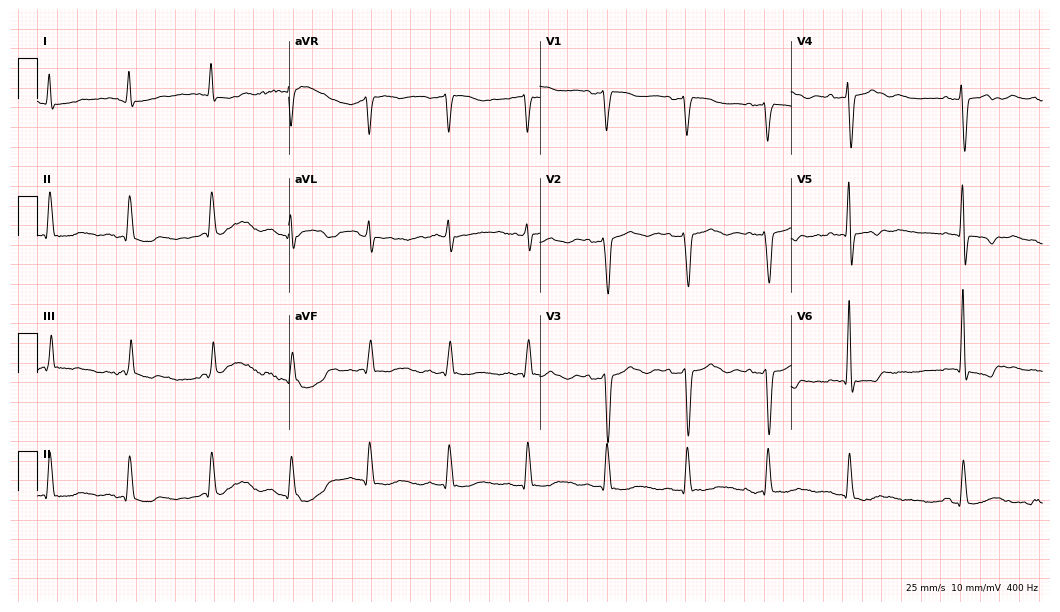
Standard 12-lead ECG recorded from a male patient, 83 years old (10.2-second recording at 400 Hz). None of these six findings is recorded: first-degree AV block, right bundle branch block, left bundle branch block, sinus bradycardia, atrial fibrillation, sinus tachycardia. Other findings, if any, are not listed.